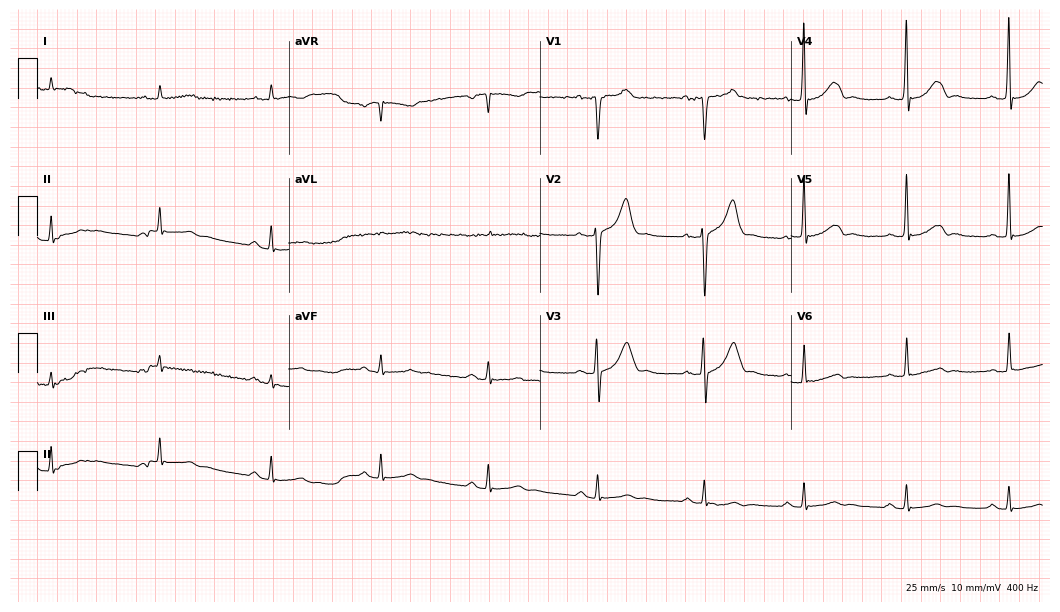
12-lead ECG (10.2-second recording at 400 Hz) from a male, 49 years old. Labelled as a normal ECG.